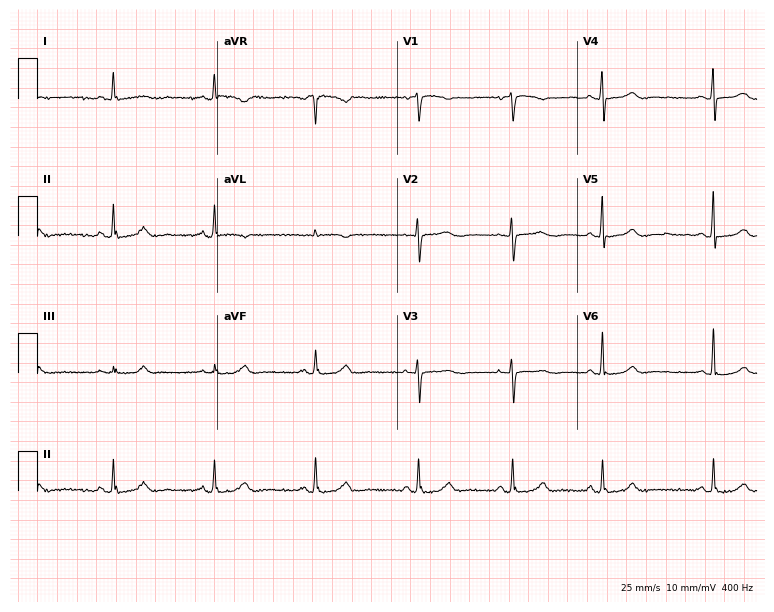
12-lead ECG (7.3-second recording at 400 Hz) from an 81-year-old female patient. Labelled as a normal ECG.